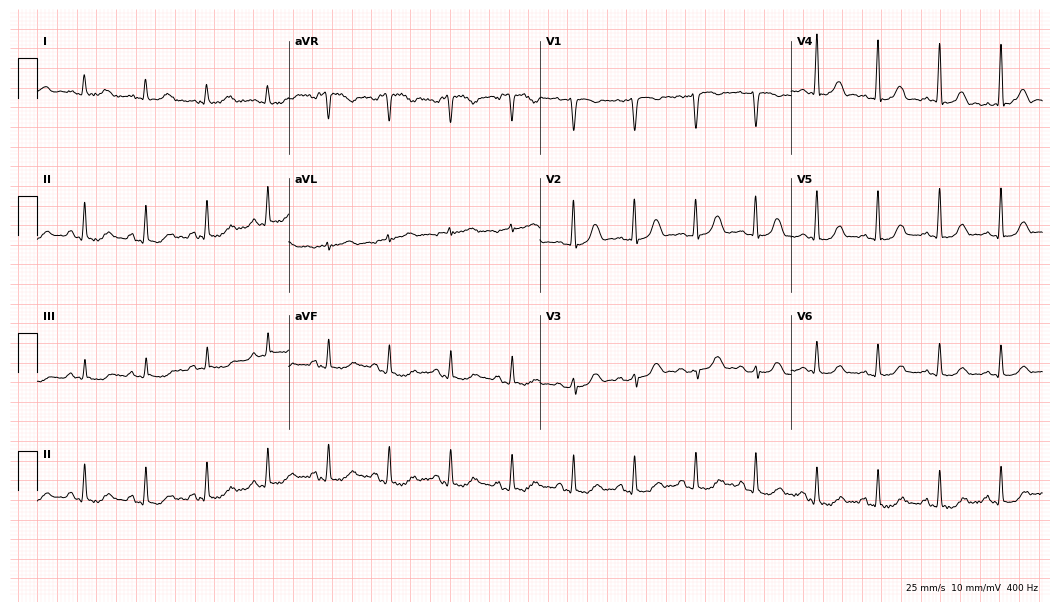
12-lead ECG from a female, 49 years old (10.2-second recording at 400 Hz). No first-degree AV block, right bundle branch block, left bundle branch block, sinus bradycardia, atrial fibrillation or sinus tachycardia recorded for this tracing. Findings outside these six are not listed.